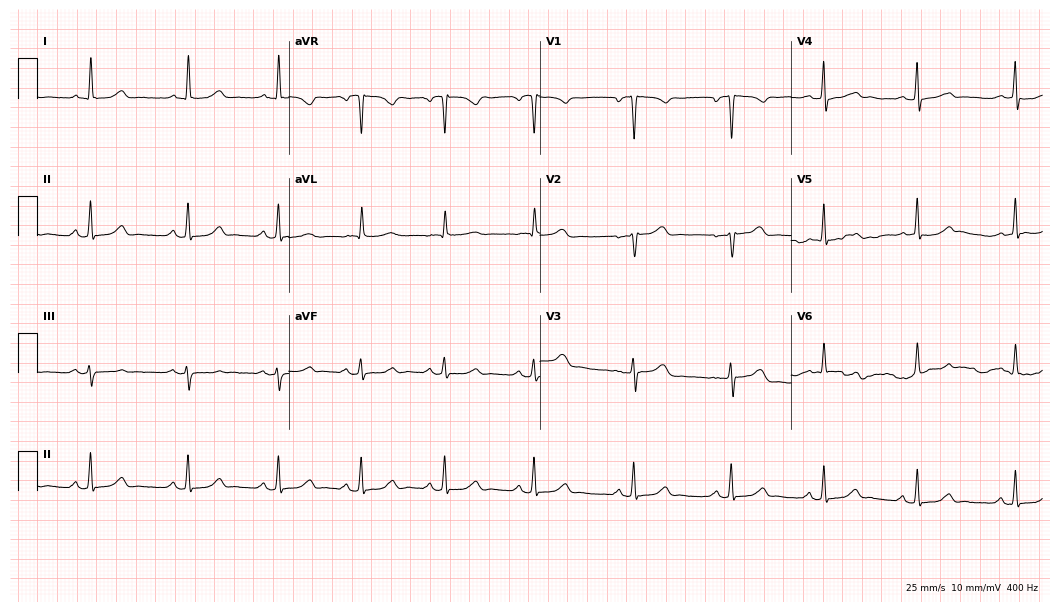
ECG — a woman, 51 years old. Labelled as a normal ECG.